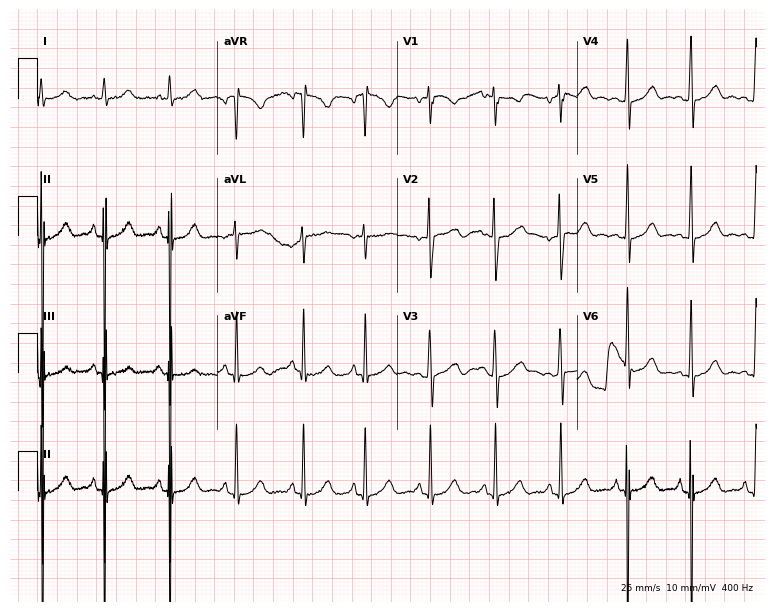
ECG (7.3-second recording at 400 Hz) — a 21-year-old female. Screened for six findings — first-degree AV block, right bundle branch block, left bundle branch block, sinus bradycardia, atrial fibrillation, sinus tachycardia — none is recorded.